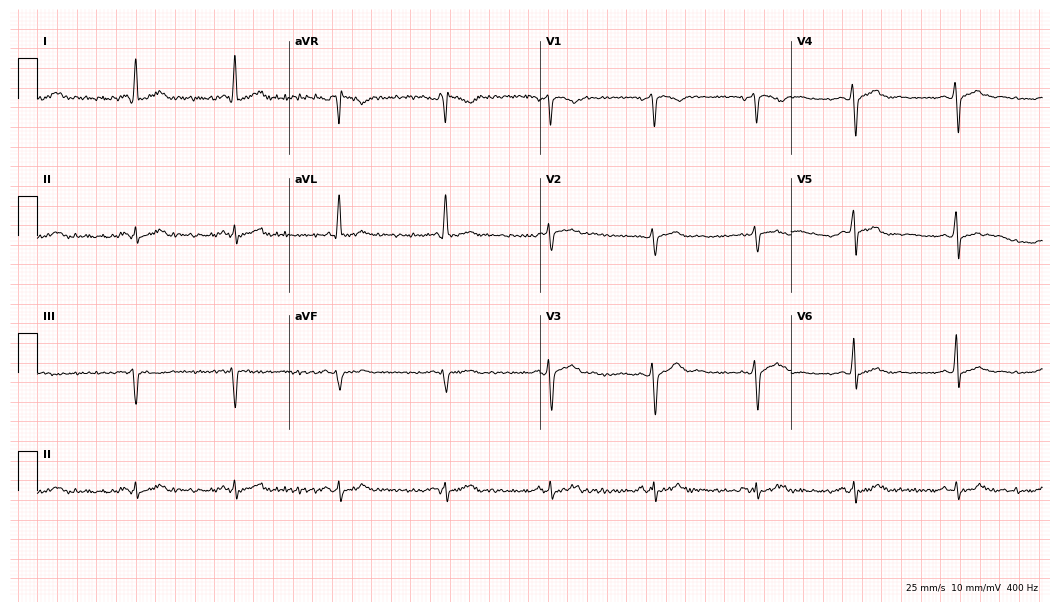
12-lead ECG (10.2-second recording at 400 Hz) from a 37-year-old male patient. Screened for six findings — first-degree AV block, right bundle branch block, left bundle branch block, sinus bradycardia, atrial fibrillation, sinus tachycardia — none is recorded. Other findings, if any, are not listed.